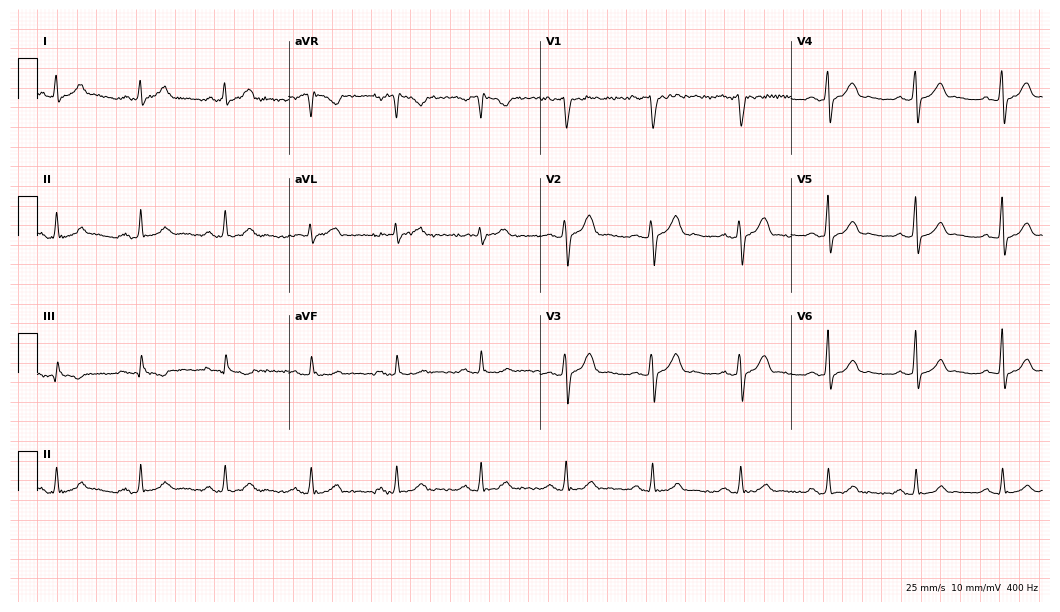
12-lead ECG (10.2-second recording at 400 Hz) from a male, 36 years old. Labelled as a normal ECG.